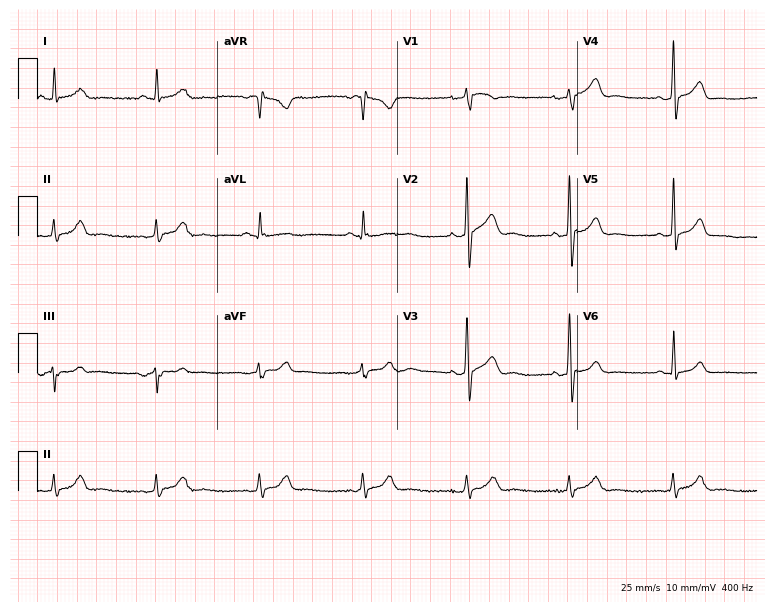
Standard 12-lead ECG recorded from a 50-year-old man. None of these six findings is recorded: first-degree AV block, right bundle branch block, left bundle branch block, sinus bradycardia, atrial fibrillation, sinus tachycardia. Findings outside these six are not listed.